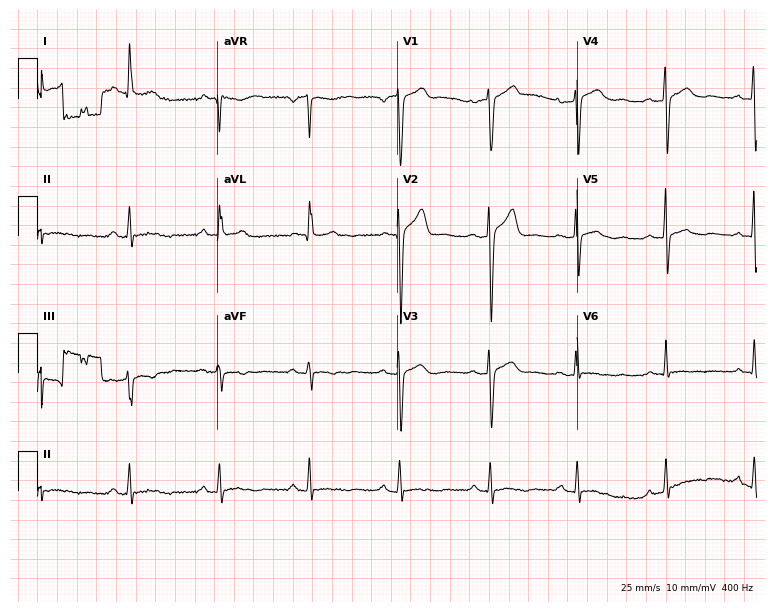
Electrocardiogram, a male patient, 44 years old. Of the six screened findings (first-degree AV block, right bundle branch block, left bundle branch block, sinus bradycardia, atrial fibrillation, sinus tachycardia), none is recorded. Findings outside these six are not listed.